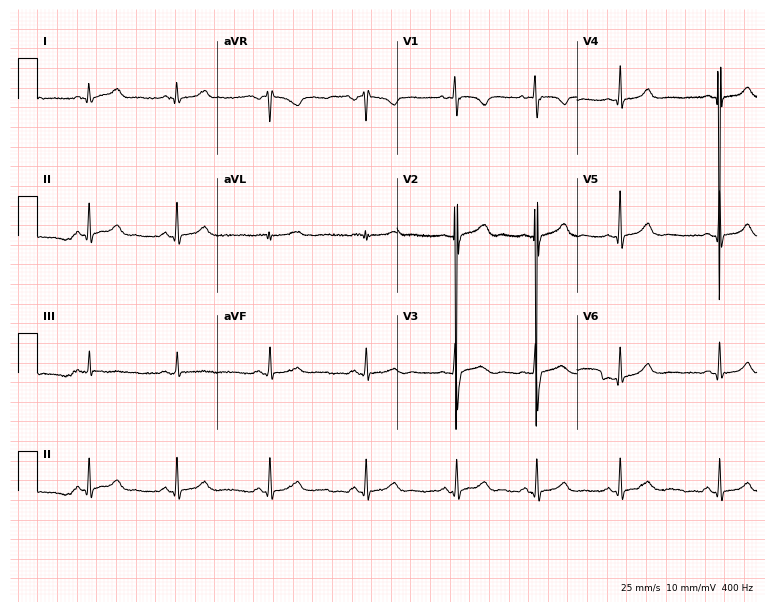
ECG (7.3-second recording at 400 Hz) — a female patient, 33 years old. Screened for six findings — first-degree AV block, right bundle branch block (RBBB), left bundle branch block (LBBB), sinus bradycardia, atrial fibrillation (AF), sinus tachycardia — none is recorded.